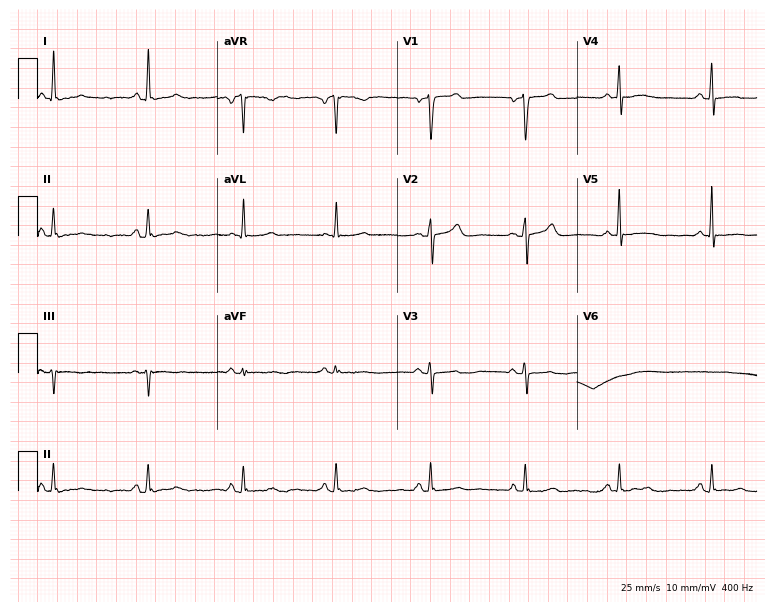
Electrocardiogram, a 67-year-old woman. Of the six screened findings (first-degree AV block, right bundle branch block, left bundle branch block, sinus bradycardia, atrial fibrillation, sinus tachycardia), none is recorded.